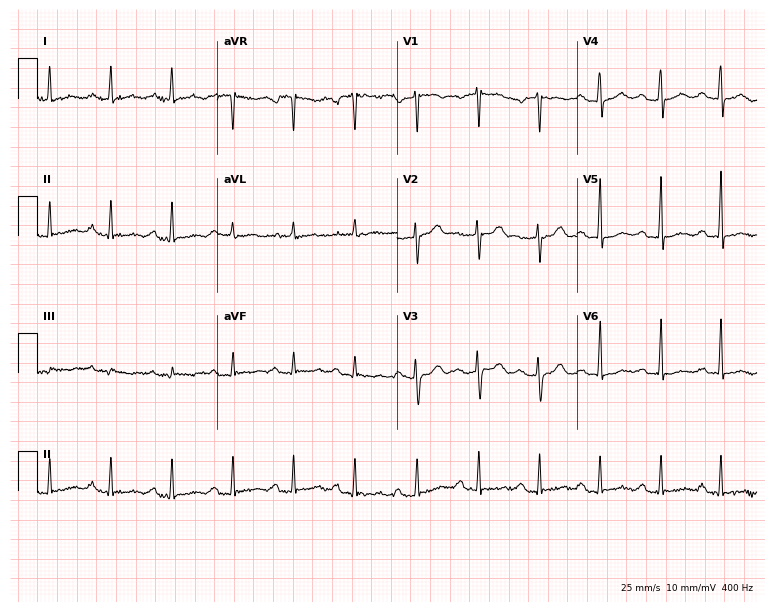
12-lead ECG from a woman, 41 years old. No first-degree AV block, right bundle branch block, left bundle branch block, sinus bradycardia, atrial fibrillation or sinus tachycardia recorded for this tracing. Findings outside these six are not listed.